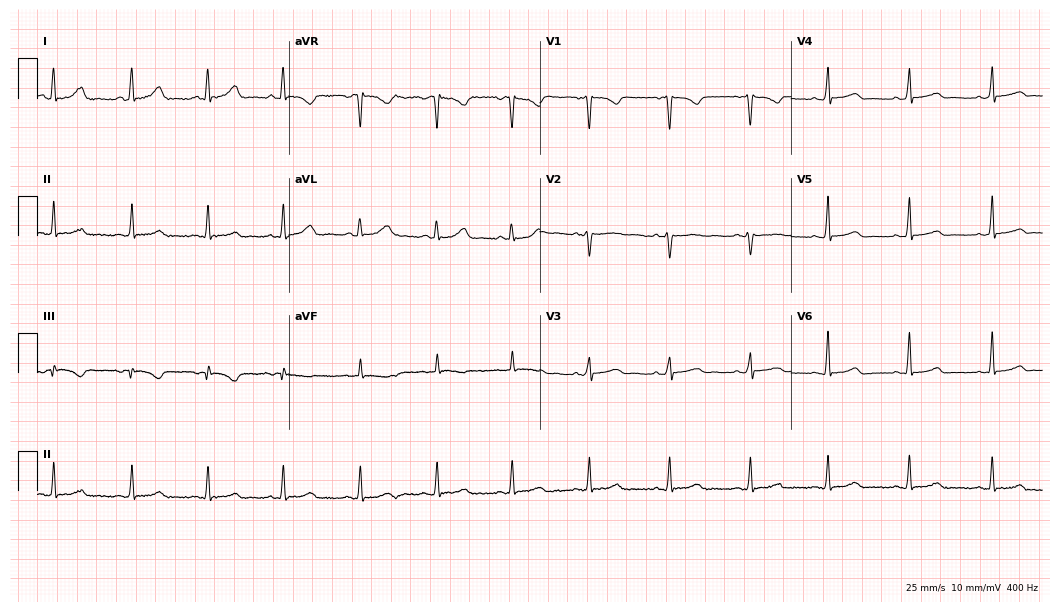
Standard 12-lead ECG recorded from a female, 33 years old (10.2-second recording at 400 Hz). Read as a normal ECG.